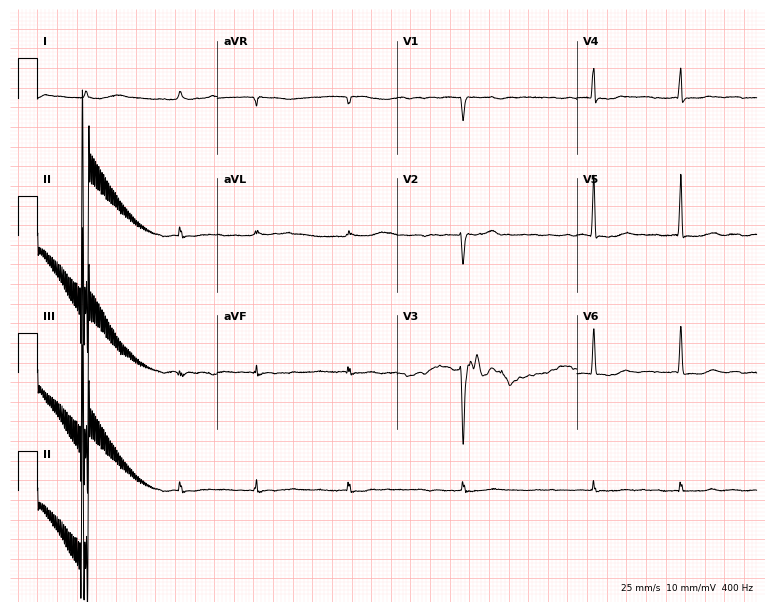
Electrocardiogram (7.3-second recording at 400 Hz), a female patient, 85 years old. Interpretation includes atrial fibrillation (AF).